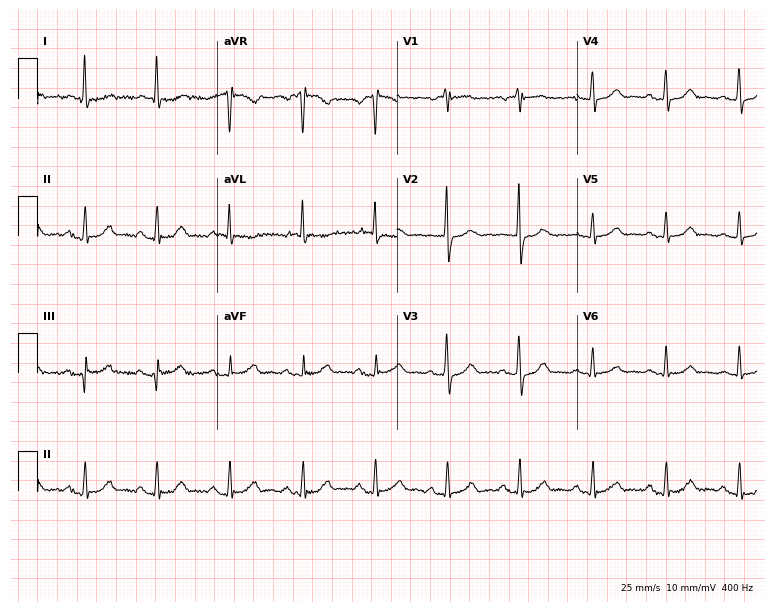
ECG (7.3-second recording at 400 Hz) — a woman, 66 years old. Screened for six findings — first-degree AV block, right bundle branch block, left bundle branch block, sinus bradycardia, atrial fibrillation, sinus tachycardia — none is recorded.